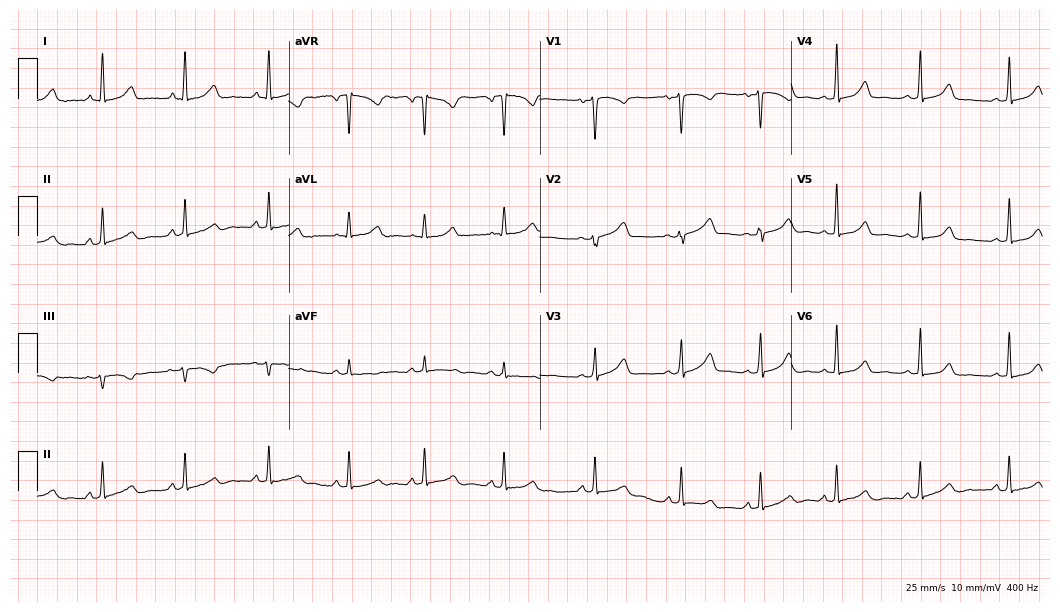
ECG (10.2-second recording at 400 Hz) — a 32-year-old female. Labelled as a normal ECG.